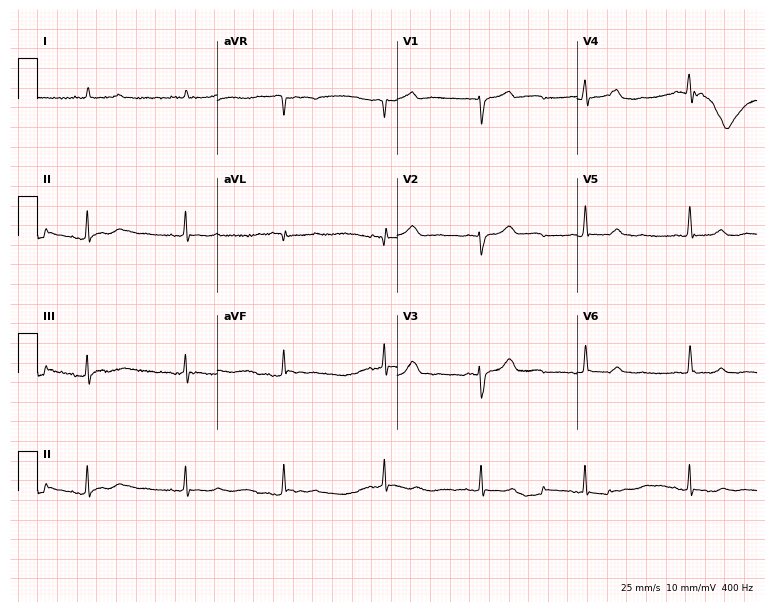
Standard 12-lead ECG recorded from a male patient, 73 years old. None of these six findings is recorded: first-degree AV block, right bundle branch block (RBBB), left bundle branch block (LBBB), sinus bradycardia, atrial fibrillation (AF), sinus tachycardia.